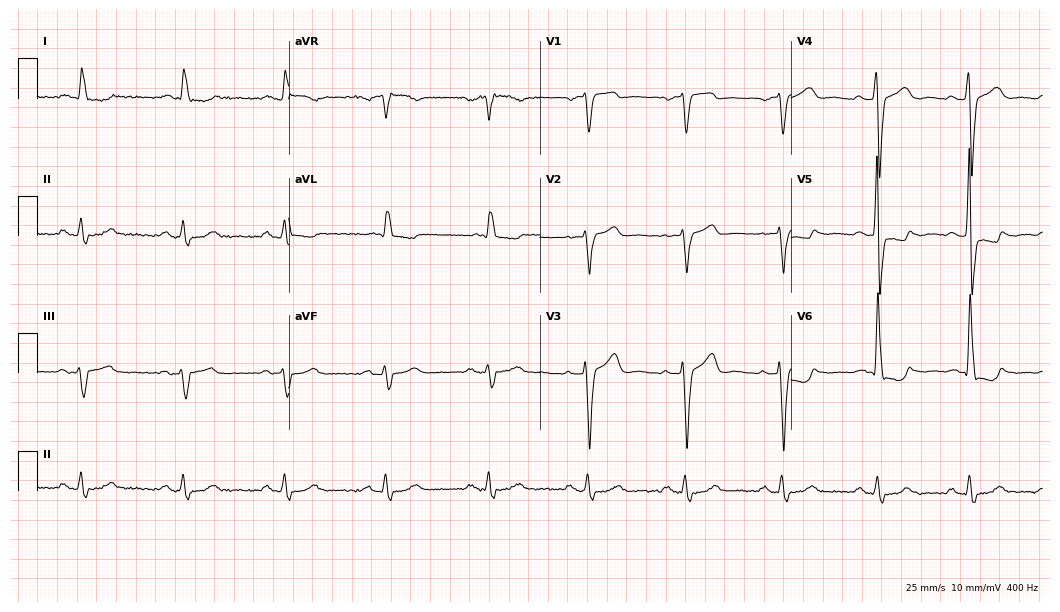
12-lead ECG from a 72-year-old man (10.2-second recording at 400 Hz). Shows left bundle branch block.